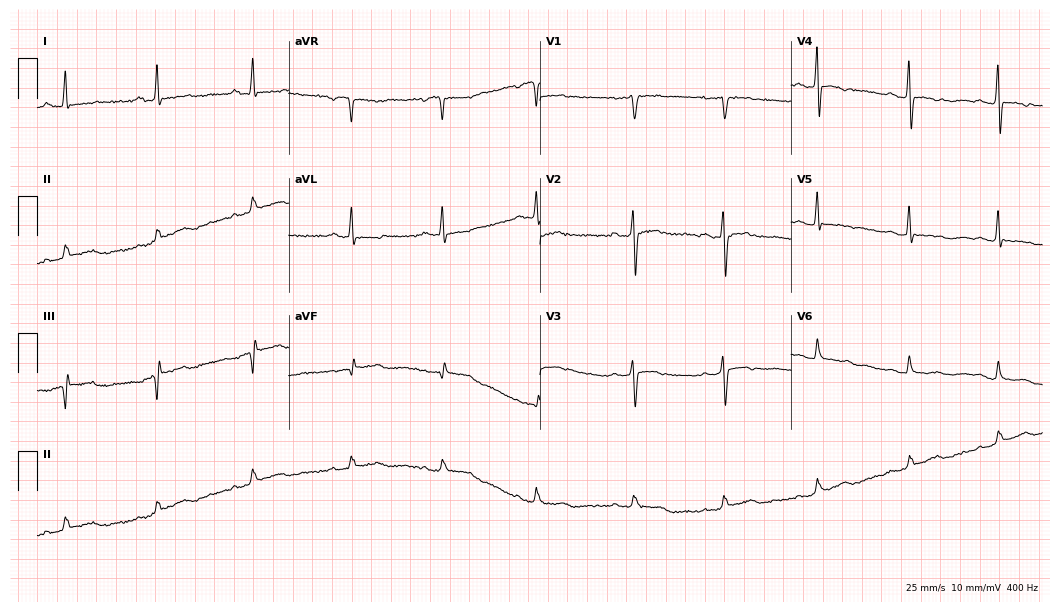
Electrocardiogram (10.2-second recording at 400 Hz), a female, 46 years old. Of the six screened findings (first-degree AV block, right bundle branch block (RBBB), left bundle branch block (LBBB), sinus bradycardia, atrial fibrillation (AF), sinus tachycardia), none is recorded. Other findings, if any, are not listed.